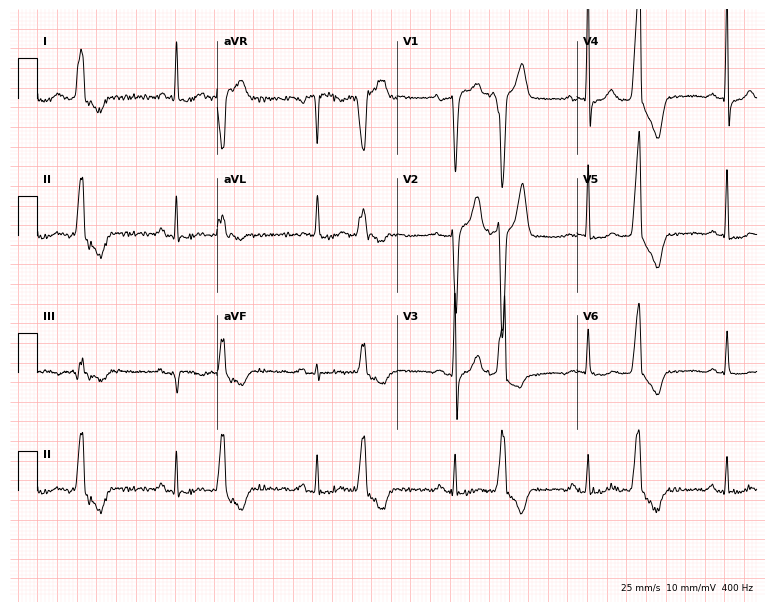
ECG (7.3-second recording at 400 Hz) — an 85-year-old male. Screened for six findings — first-degree AV block, right bundle branch block (RBBB), left bundle branch block (LBBB), sinus bradycardia, atrial fibrillation (AF), sinus tachycardia — none is recorded.